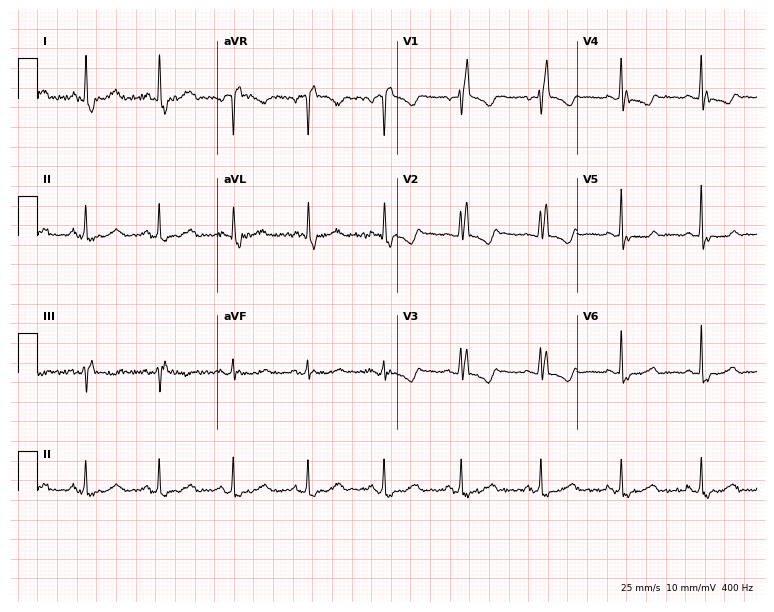
Electrocardiogram (7.3-second recording at 400 Hz), a female, 80 years old. Interpretation includes right bundle branch block (RBBB).